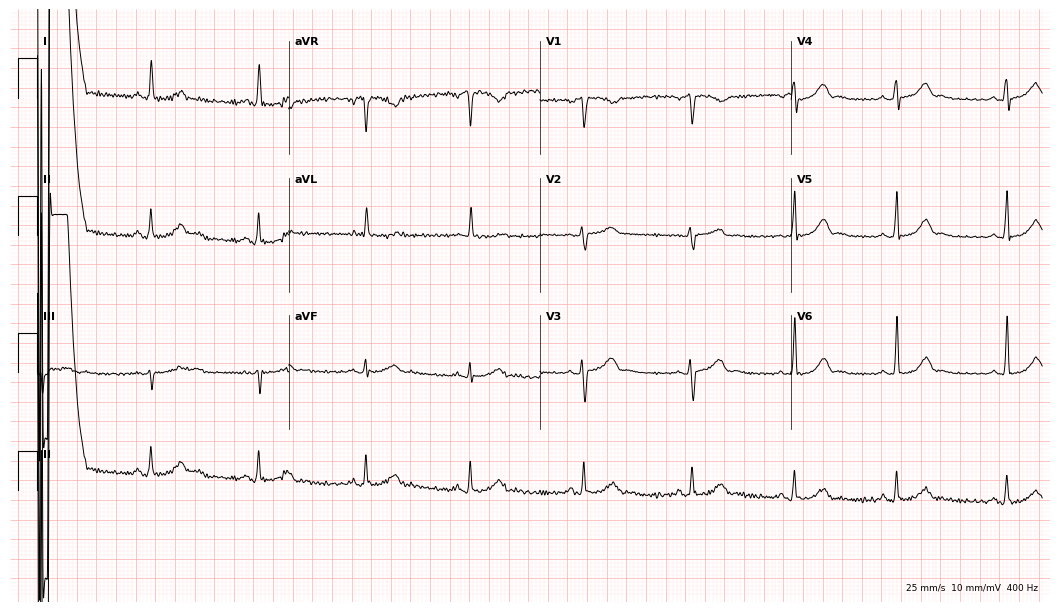
Electrocardiogram (10.2-second recording at 400 Hz), a woman, 42 years old. Overall reading on record: normal ECG.